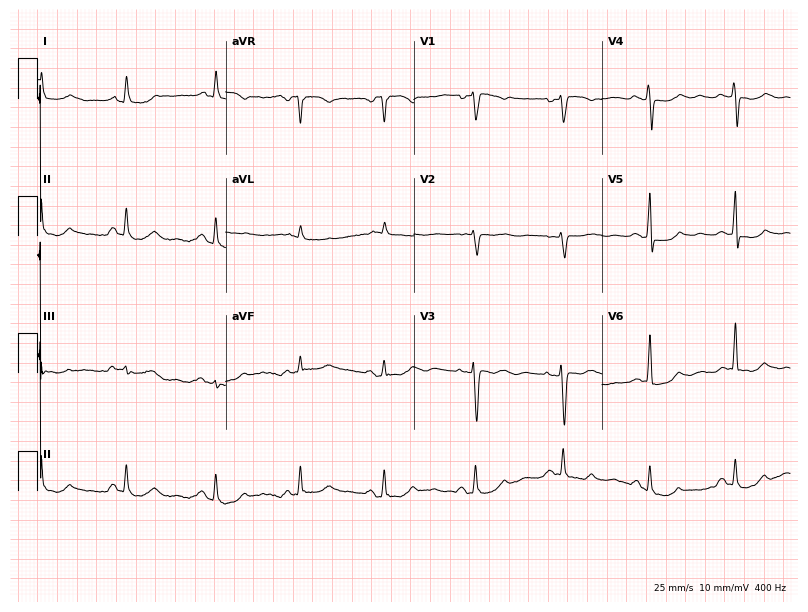
Resting 12-lead electrocardiogram (7.7-second recording at 400 Hz). Patient: an 81-year-old female. None of these six findings is recorded: first-degree AV block, right bundle branch block, left bundle branch block, sinus bradycardia, atrial fibrillation, sinus tachycardia. Only these six findings were labelled.